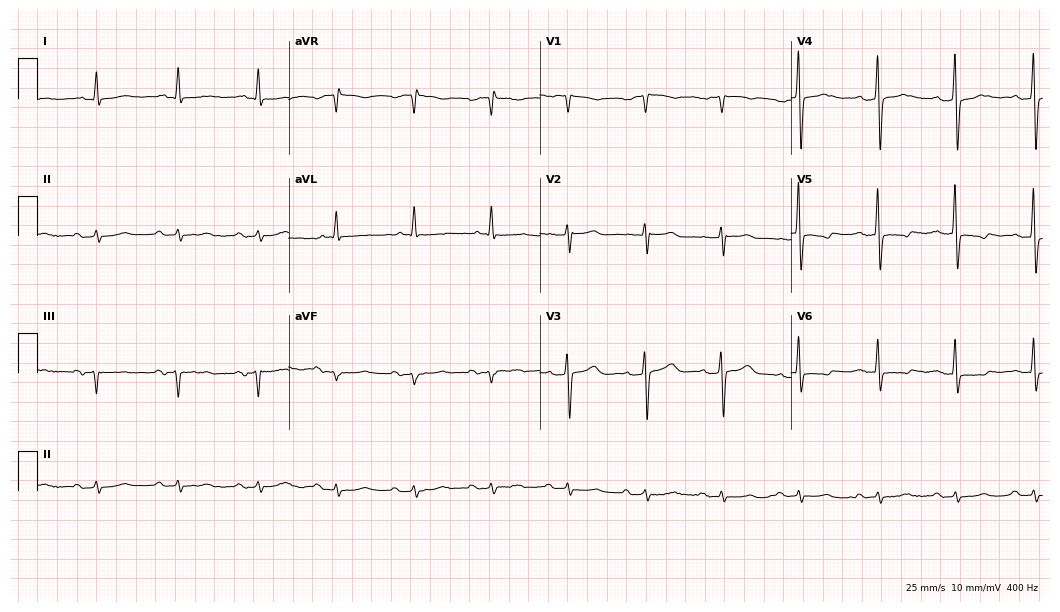
12-lead ECG from a man, 67 years old (10.2-second recording at 400 Hz). No first-degree AV block, right bundle branch block, left bundle branch block, sinus bradycardia, atrial fibrillation or sinus tachycardia recorded for this tracing. Findings outside these six are not listed.